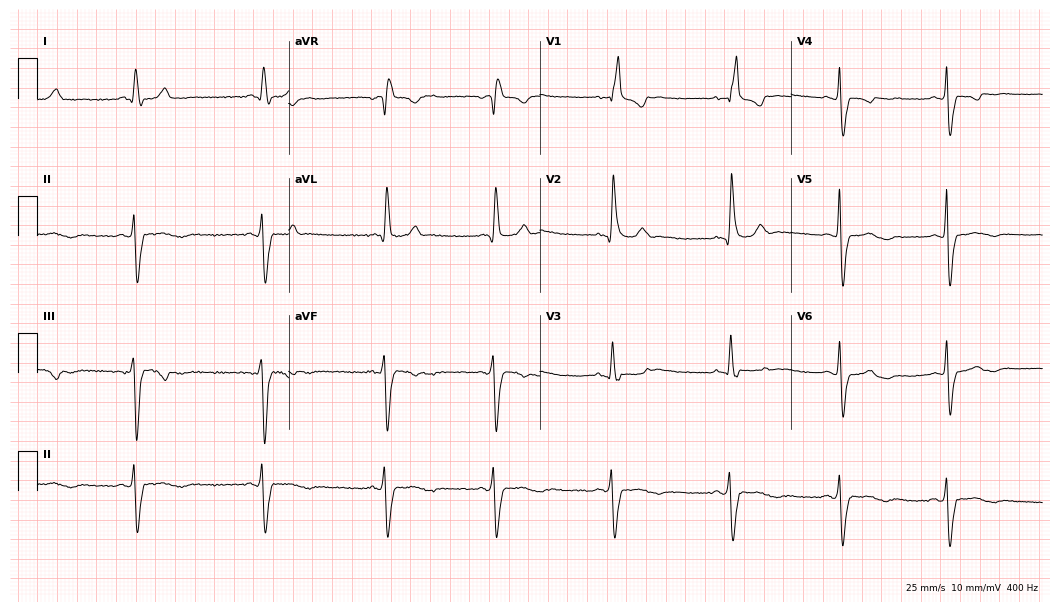
12-lead ECG from a woman, 65 years old (10.2-second recording at 400 Hz). Shows right bundle branch block.